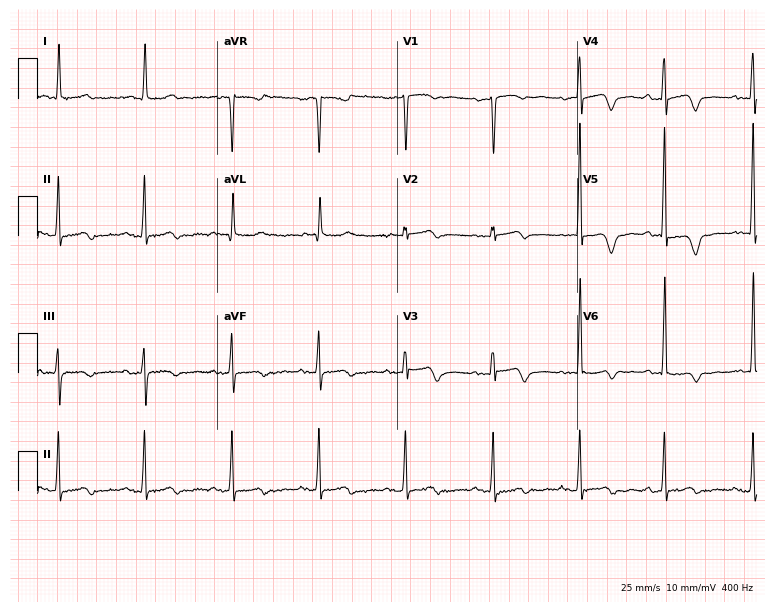
Standard 12-lead ECG recorded from an 84-year-old female patient. None of these six findings is recorded: first-degree AV block, right bundle branch block (RBBB), left bundle branch block (LBBB), sinus bradycardia, atrial fibrillation (AF), sinus tachycardia.